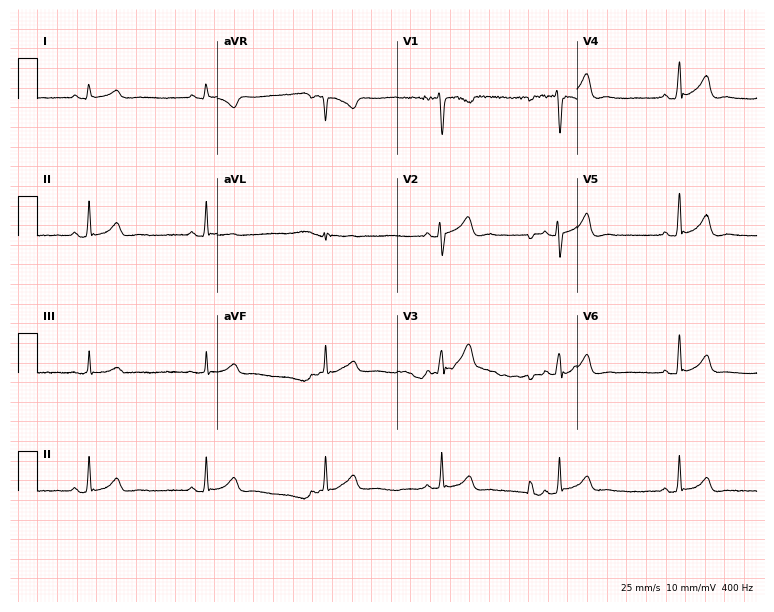
Electrocardiogram, a woman, 49 years old. Interpretation includes sinus bradycardia (a sinus rate of 50 beats per minute or less).